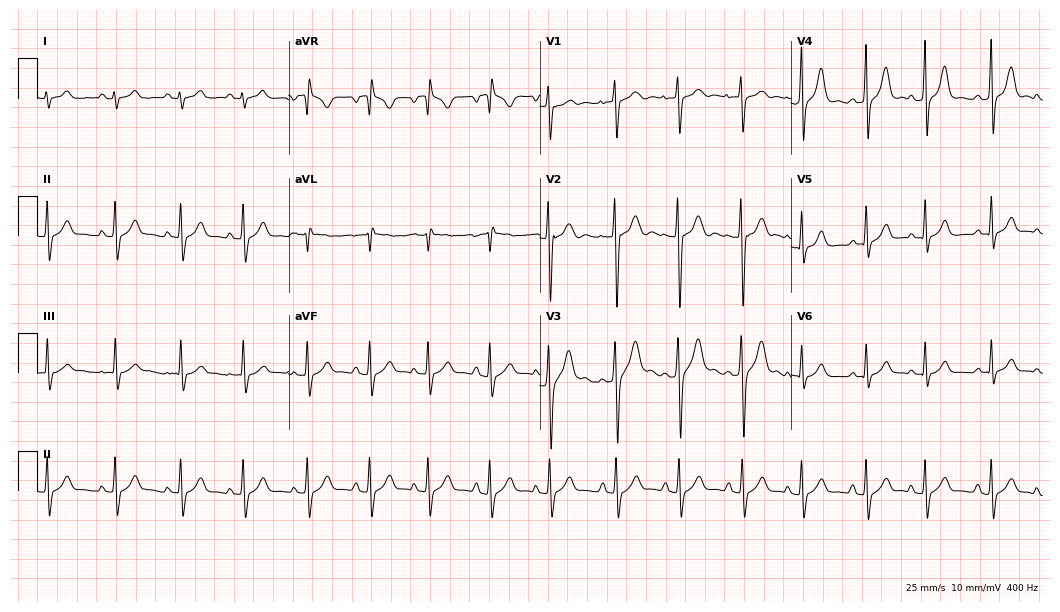
Electrocardiogram, a male, 17 years old. Overall reading on record: normal ECG.